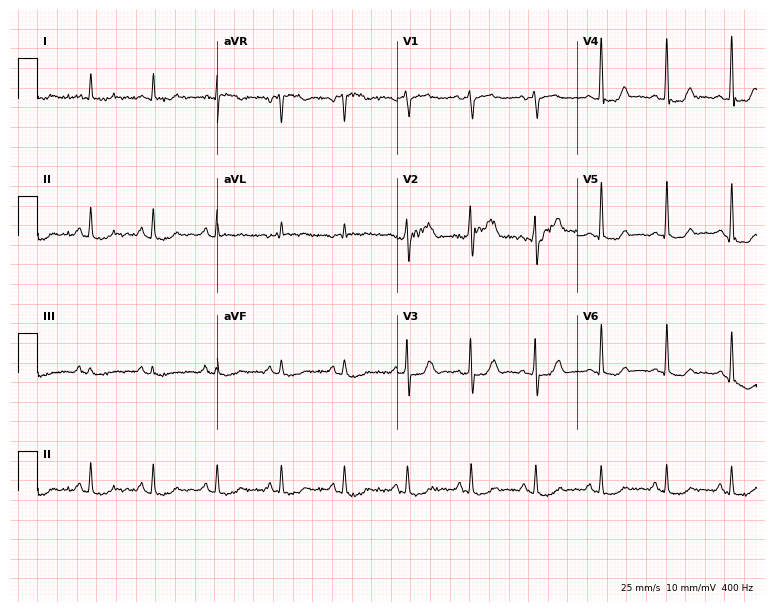
12-lead ECG from a female patient, 78 years old. Labelled as a normal ECG.